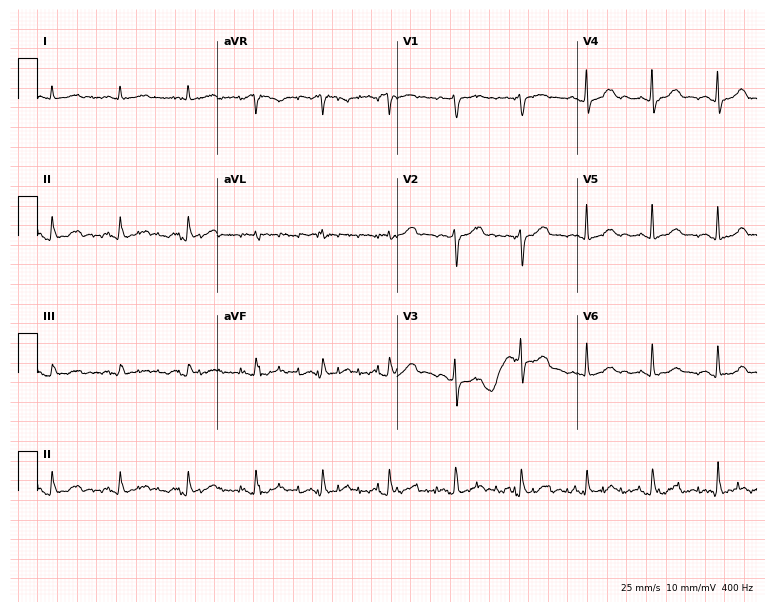
Standard 12-lead ECG recorded from a 71-year-old female (7.3-second recording at 400 Hz). None of these six findings is recorded: first-degree AV block, right bundle branch block, left bundle branch block, sinus bradycardia, atrial fibrillation, sinus tachycardia. Findings outside these six are not listed.